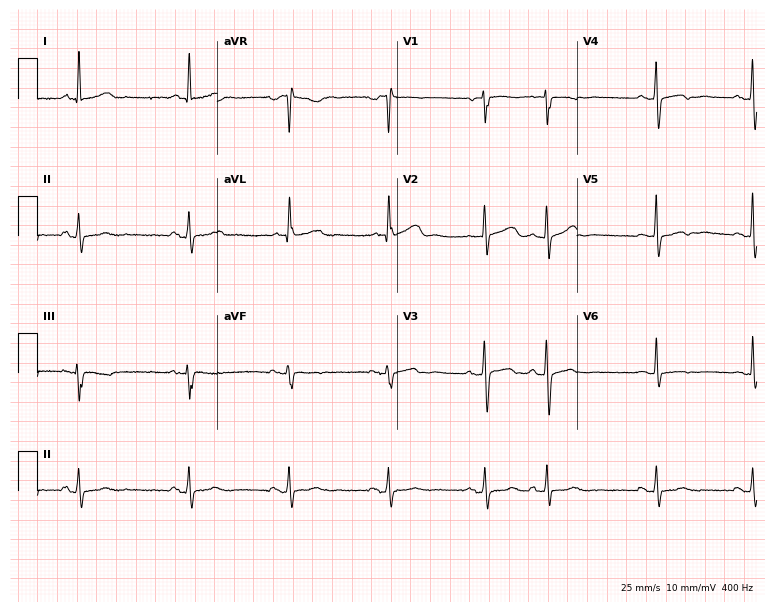
12-lead ECG from a female, 68 years old. No first-degree AV block, right bundle branch block, left bundle branch block, sinus bradycardia, atrial fibrillation or sinus tachycardia recorded for this tracing. Findings outside these six are not listed.